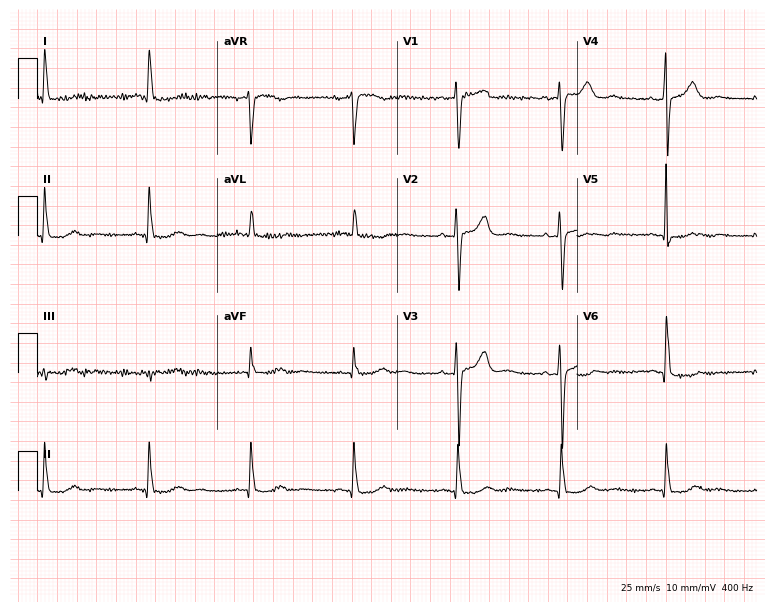
ECG (7.3-second recording at 400 Hz) — a female patient, 56 years old. Screened for six findings — first-degree AV block, right bundle branch block, left bundle branch block, sinus bradycardia, atrial fibrillation, sinus tachycardia — none is recorded. Only these six findings were labelled.